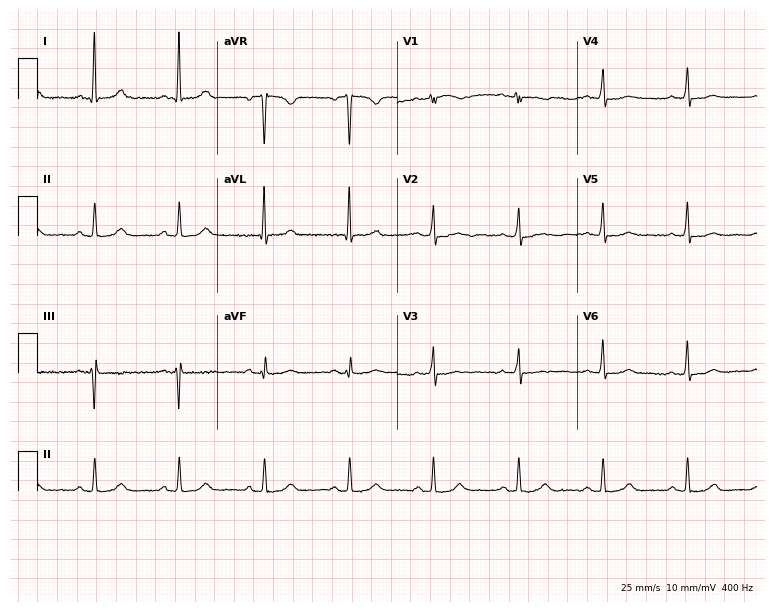
Standard 12-lead ECG recorded from a woman, 75 years old (7.3-second recording at 400 Hz). None of these six findings is recorded: first-degree AV block, right bundle branch block (RBBB), left bundle branch block (LBBB), sinus bradycardia, atrial fibrillation (AF), sinus tachycardia. Findings outside these six are not listed.